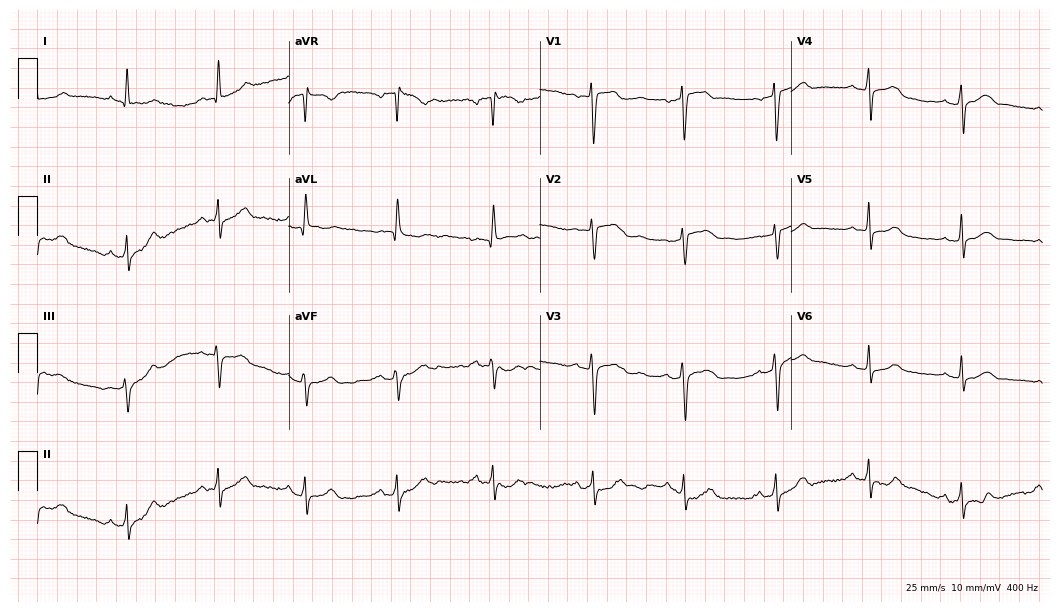
ECG (10.2-second recording at 400 Hz) — a female, 69 years old. Screened for six findings — first-degree AV block, right bundle branch block, left bundle branch block, sinus bradycardia, atrial fibrillation, sinus tachycardia — none is recorded.